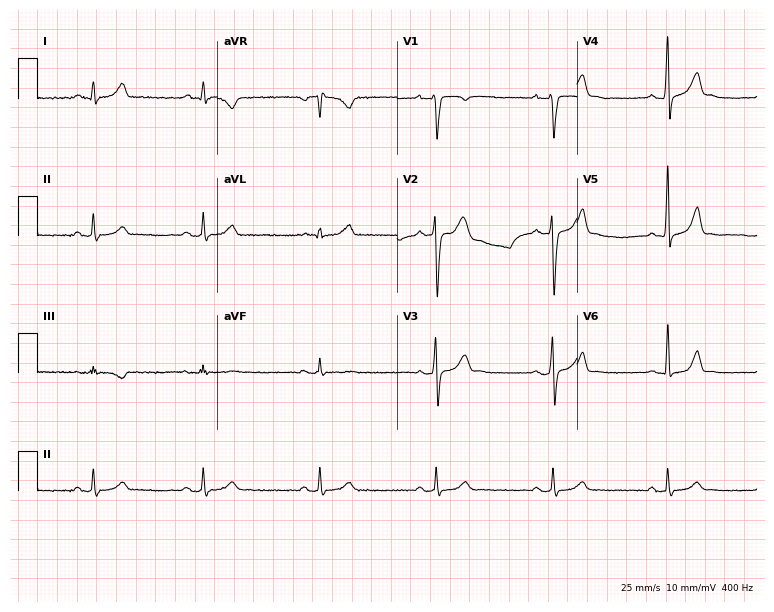
ECG (7.3-second recording at 400 Hz) — a 24-year-old man. Screened for six findings — first-degree AV block, right bundle branch block (RBBB), left bundle branch block (LBBB), sinus bradycardia, atrial fibrillation (AF), sinus tachycardia — none is recorded.